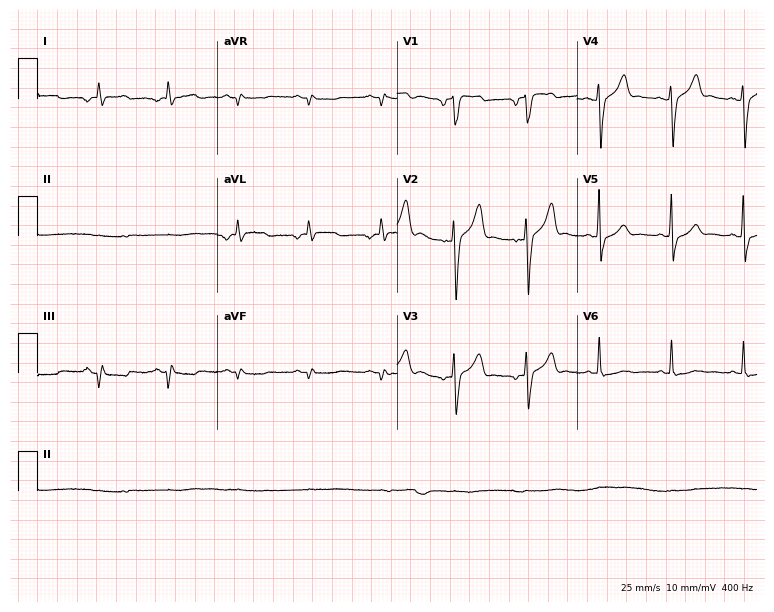
Electrocardiogram (7.3-second recording at 400 Hz), a 72-year-old male. Of the six screened findings (first-degree AV block, right bundle branch block, left bundle branch block, sinus bradycardia, atrial fibrillation, sinus tachycardia), none is recorded. Findings outside these six are not listed.